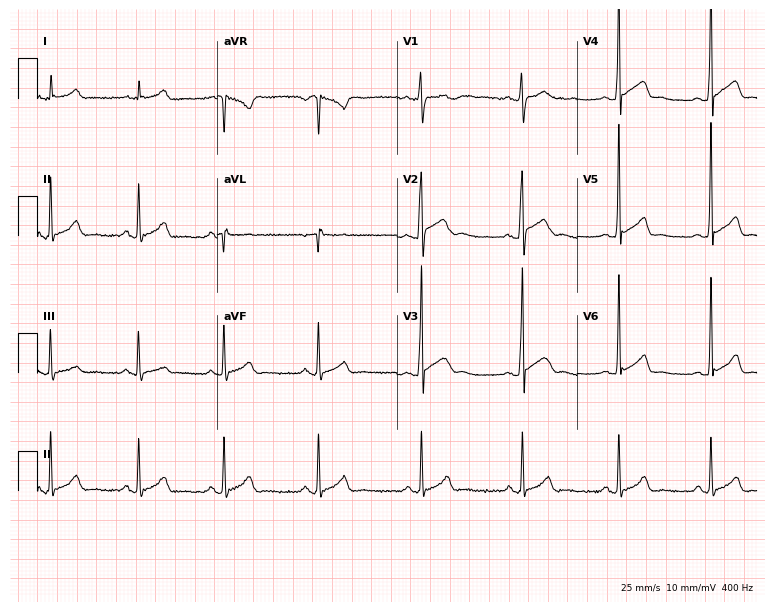
Standard 12-lead ECG recorded from a male patient, 23 years old (7.3-second recording at 400 Hz). Read as a normal ECG.